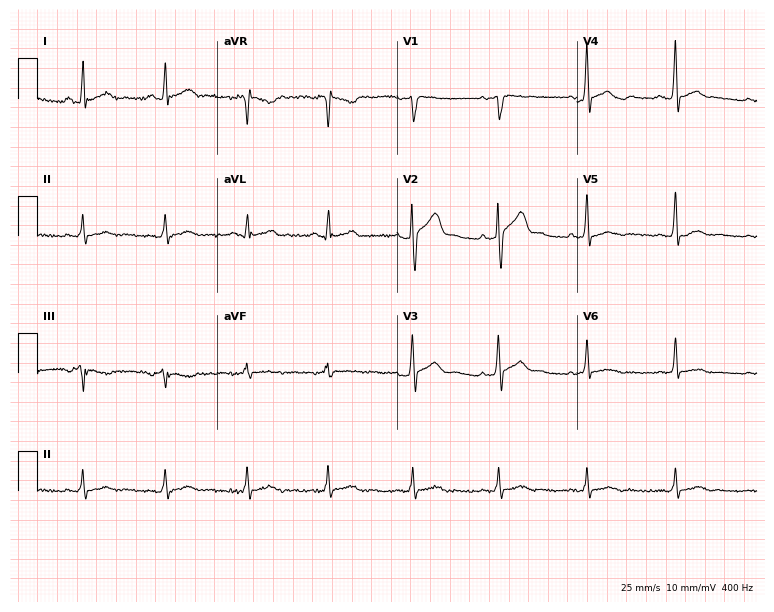
12-lead ECG from a male patient, 33 years old (7.3-second recording at 400 Hz). Recorded interpretation: within normal limits.